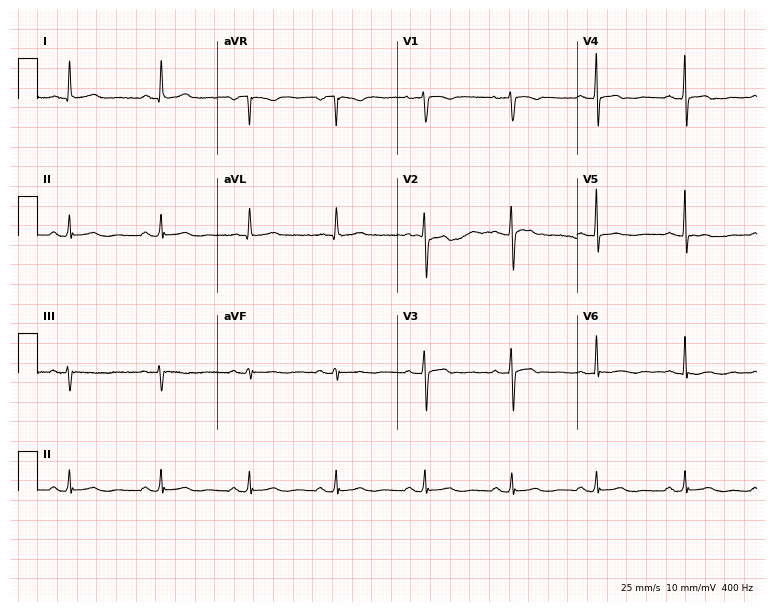
Electrocardiogram (7.3-second recording at 400 Hz), a 46-year-old female. Of the six screened findings (first-degree AV block, right bundle branch block, left bundle branch block, sinus bradycardia, atrial fibrillation, sinus tachycardia), none is recorded. Findings outside these six are not listed.